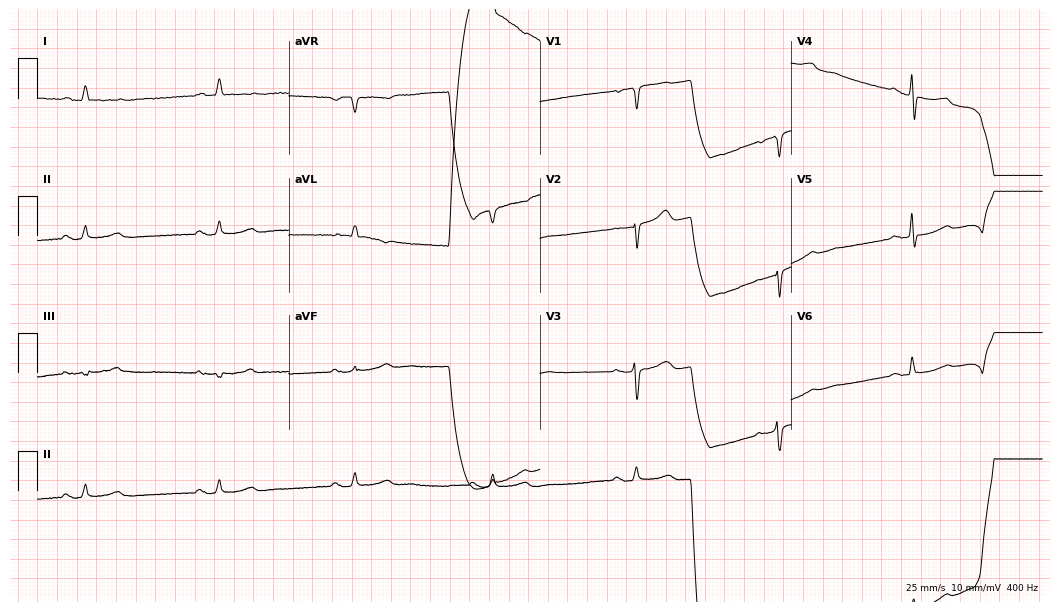
Standard 12-lead ECG recorded from an 83-year-old female (10.2-second recording at 400 Hz). The tracing shows sinus bradycardia (a sinus rate of 50 beats per minute or less).